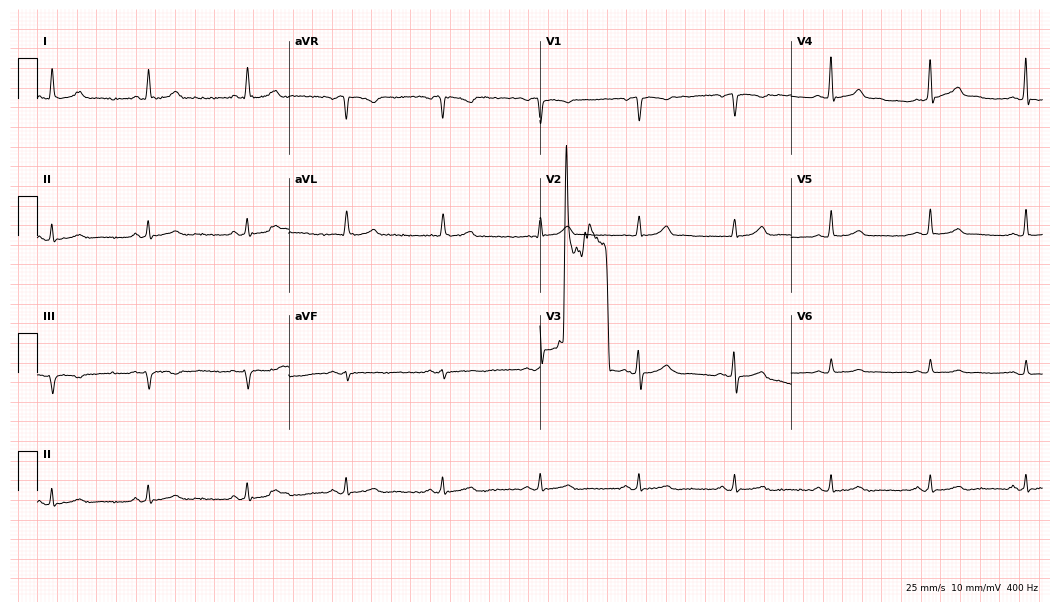
12-lead ECG from a male patient, 47 years old. Screened for six findings — first-degree AV block, right bundle branch block, left bundle branch block, sinus bradycardia, atrial fibrillation, sinus tachycardia — none is recorded.